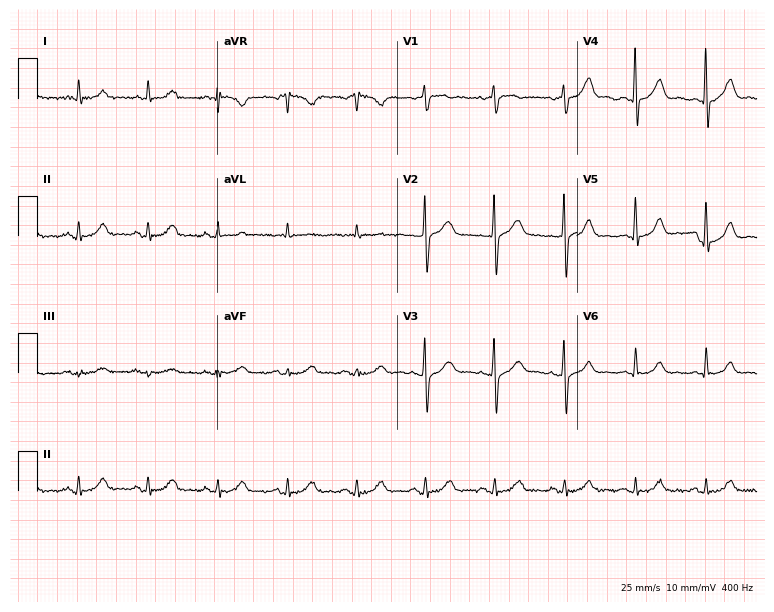
12-lead ECG from a 58-year-old male. Labelled as a normal ECG.